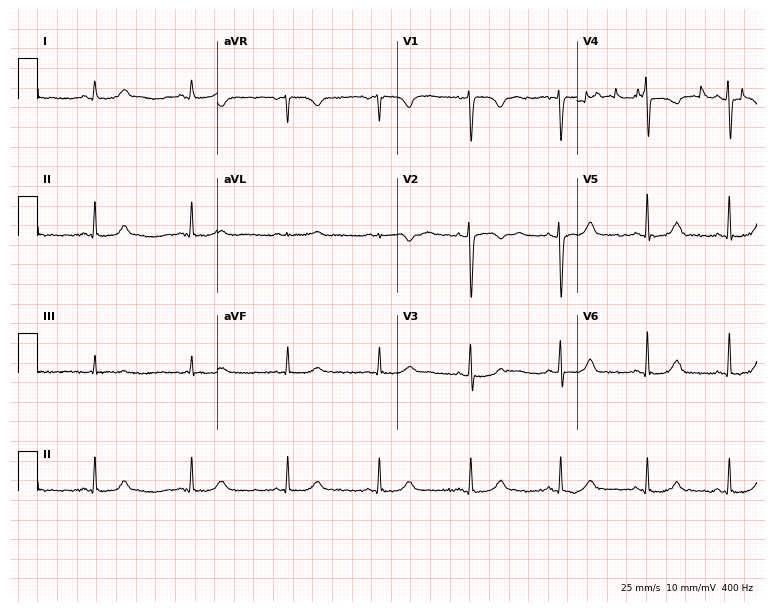
12-lead ECG from a female patient, 38 years old (7.3-second recording at 400 Hz). No first-degree AV block, right bundle branch block (RBBB), left bundle branch block (LBBB), sinus bradycardia, atrial fibrillation (AF) or sinus tachycardia recorded for this tracing.